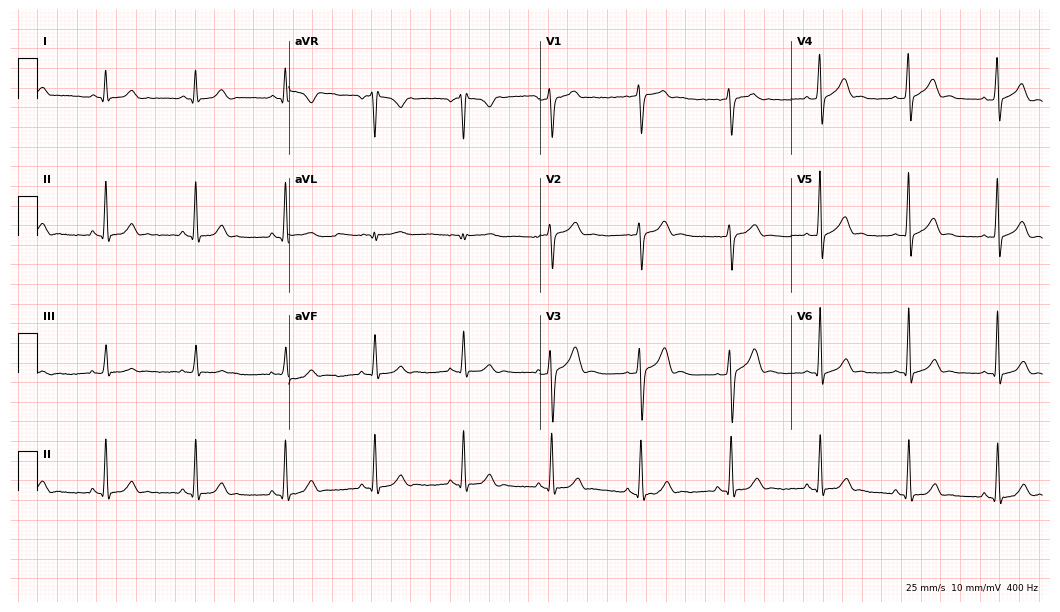
ECG — a male, 20 years old. Labelled as a normal ECG.